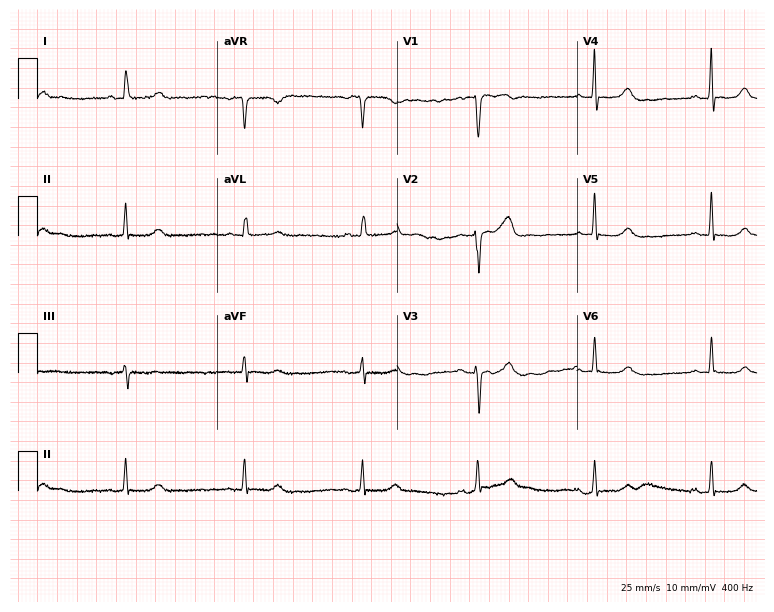
Electrocardiogram, a 54-year-old woman. Interpretation includes sinus bradycardia (a sinus rate of 50 beats per minute or less).